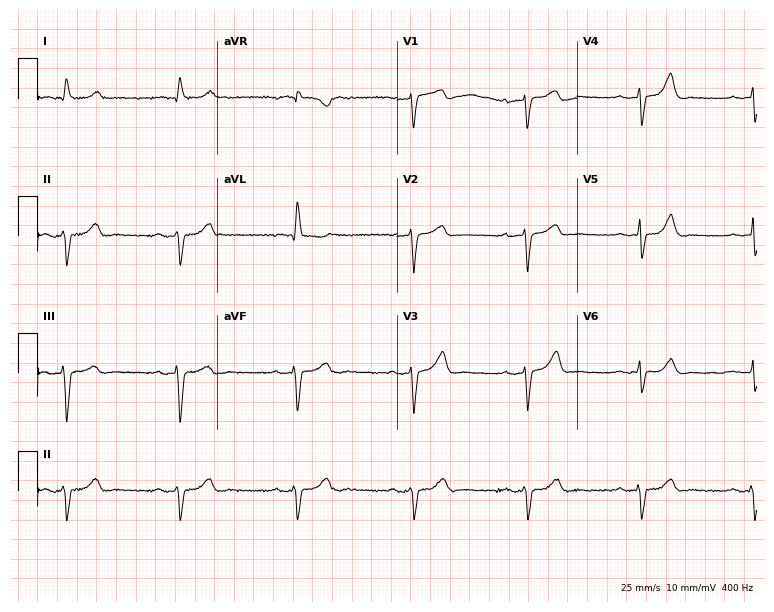
12-lead ECG from an 82-year-old female (7.3-second recording at 400 Hz). No first-degree AV block, right bundle branch block, left bundle branch block, sinus bradycardia, atrial fibrillation or sinus tachycardia recorded for this tracing. Findings outside these six are not listed.